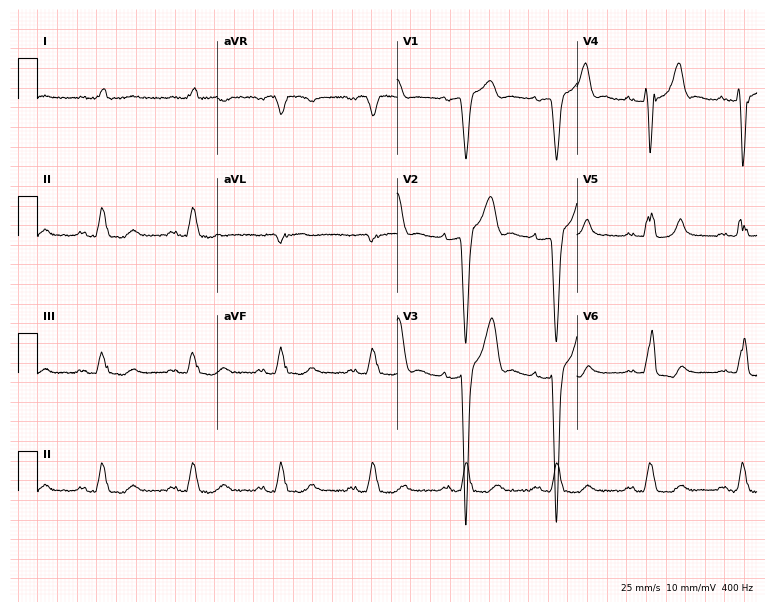
Electrocardiogram (7.3-second recording at 400 Hz), a male, 59 years old. Interpretation includes left bundle branch block.